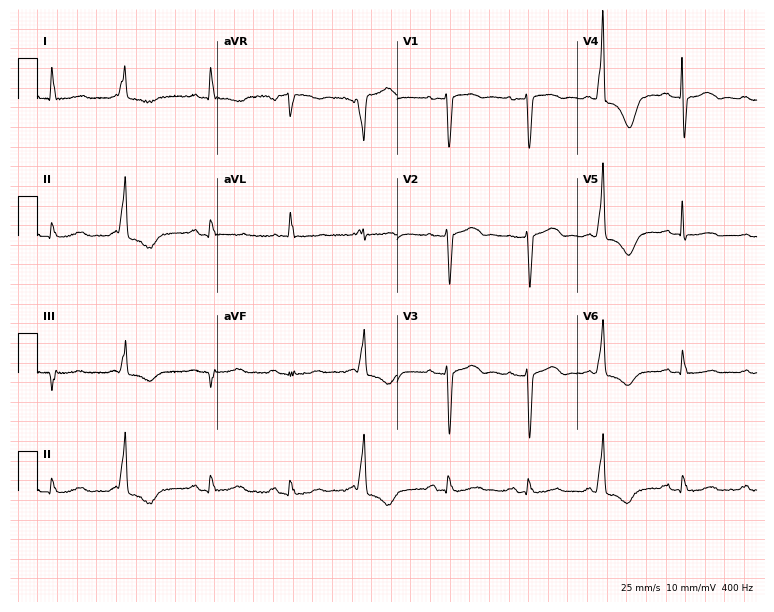
Standard 12-lead ECG recorded from a woman, 85 years old (7.3-second recording at 400 Hz). None of these six findings is recorded: first-degree AV block, right bundle branch block, left bundle branch block, sinus bradycardia, atrial fibrillation, sinus tachycardia.